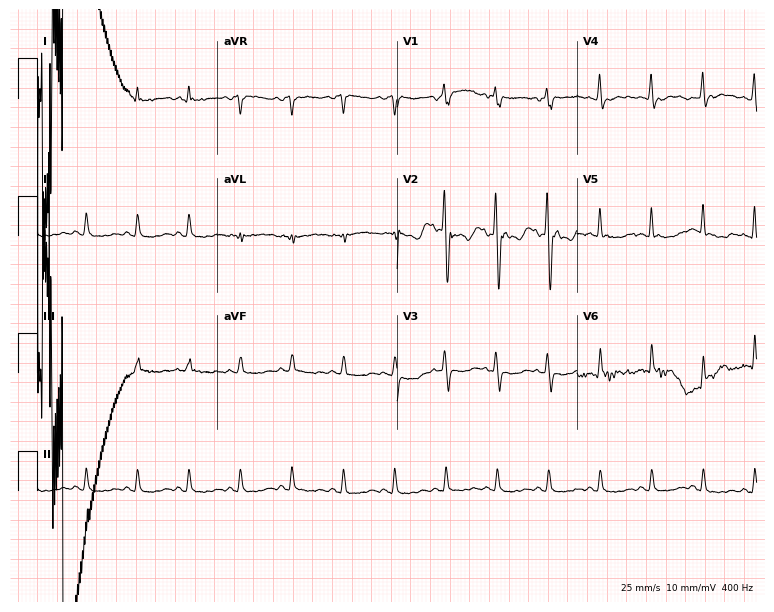
12-lead ECG from a 29-year-old man (7.3-second recording at 400 Hz). Shows sinus tachycardia (a sinus rate of 100 beats per minute or more).